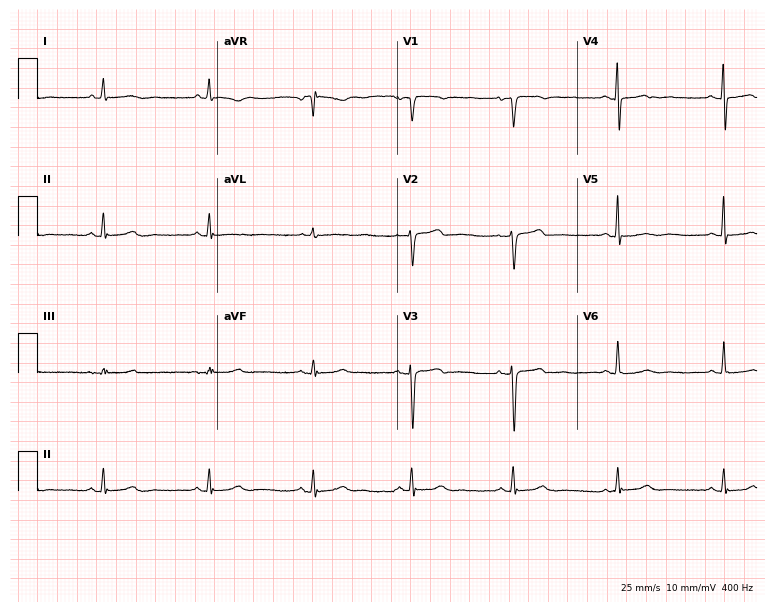
Standard 12-lead ECG recorded from a 53-year-old female patient. None of these six findings is recorded: first-degree AV block, right bundle branch block, left bundle branch block, sinus bradycardia, atrial fibrillation, sinus tachycardia. Only these six findings were labelled.